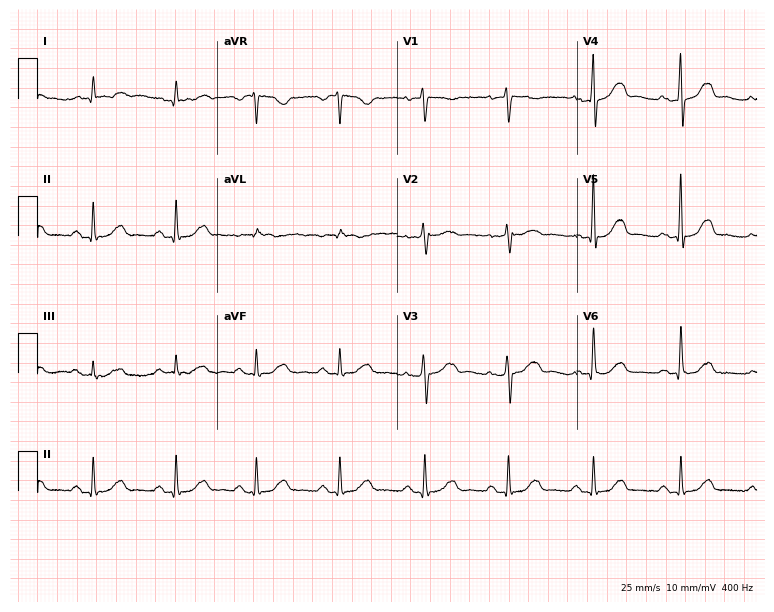
Electrocardiogram (7.3-second recording at 400 Hz), a 66-year-old female. Overall reading on record: normal ECG.